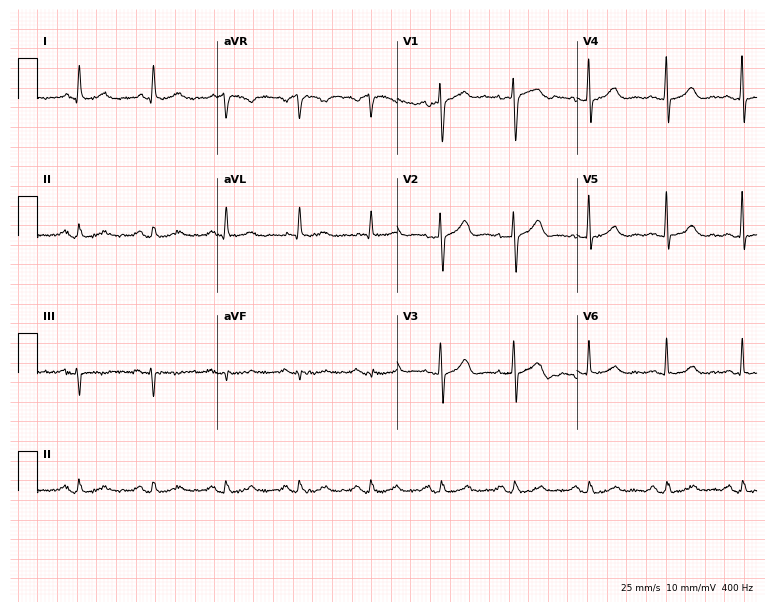
12-lead ECG from a 62-year-old male (7.3-second recording at 400 Hz). Recorded interpretation: within normal limits.